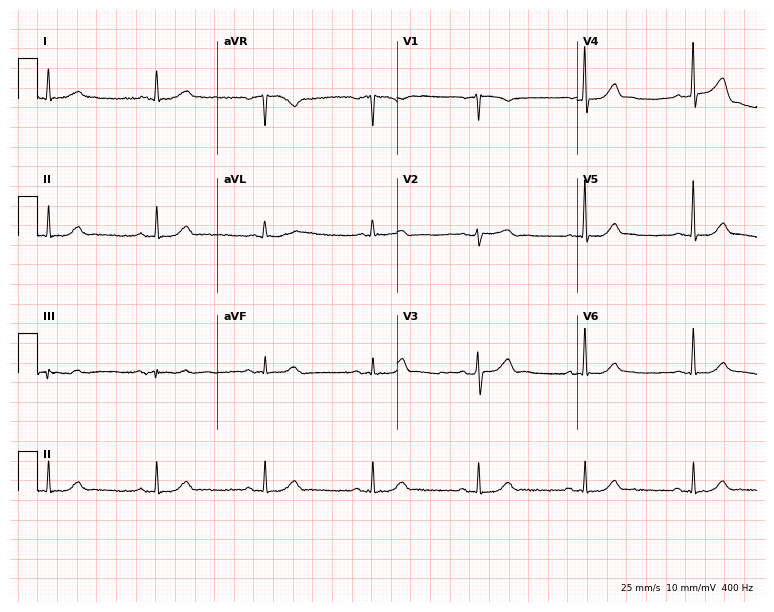
ECG — a male patient, 79 years old. Screened for six findings — first-degree AV block, right bundle branch block (RBBB), left bundle branch block (LBBB), sinus bradycardia, atrial fibrillation (AF), sinus tachycardia — none is recorded. Only these six findings were labelled.